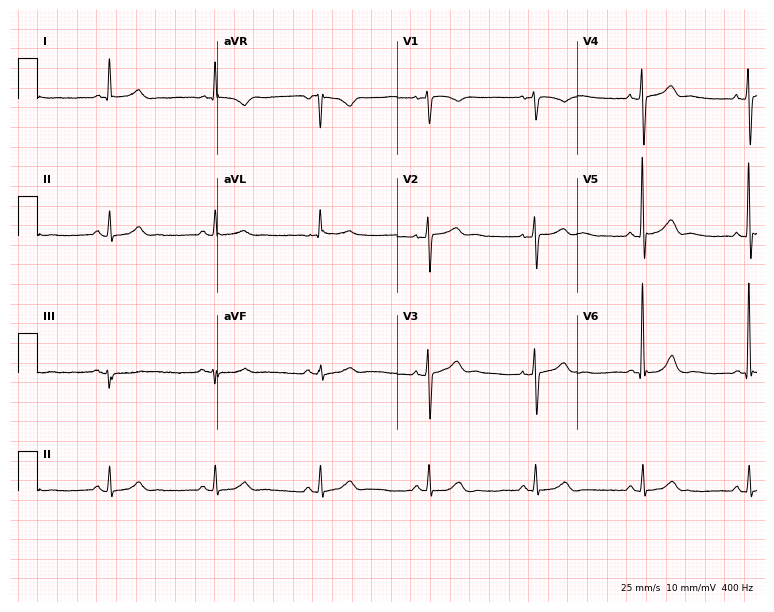
ECG — a male patient, 81 years old. Screened for six findings — first-degree AV block, right bundle branch block (RBBB), left bundle branch block (LBBB), sinus bradycardia, atrial fibrillation (AF), sinus tachycardia — none is recorded.